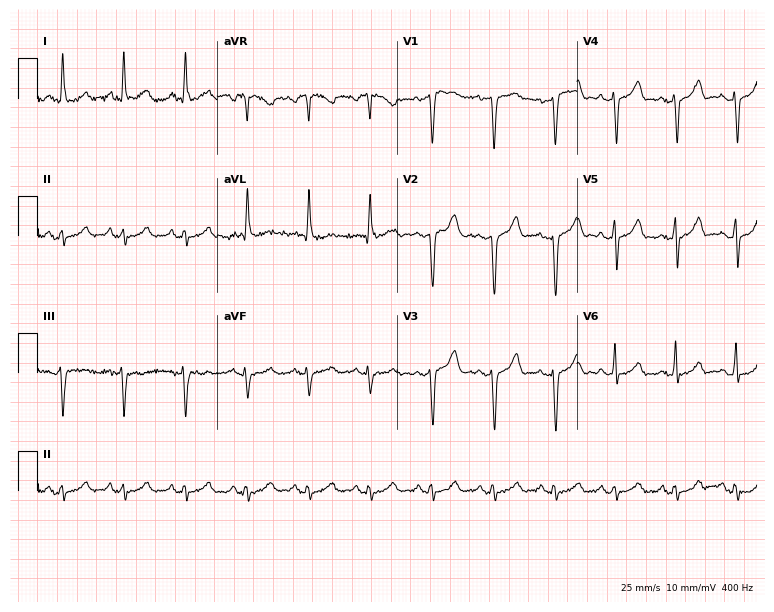
ECG (7.3-second recording at 400 Hz) — a 48-year-old female. Screened for six findings — first-degree AV block, right bundle branch block (RBBB), left bundle branch block (LBBB), sinus bradycardia, atrial fibrillation (AF), sinus tachycardia — none is recorded. Findings outside these six are not listed.